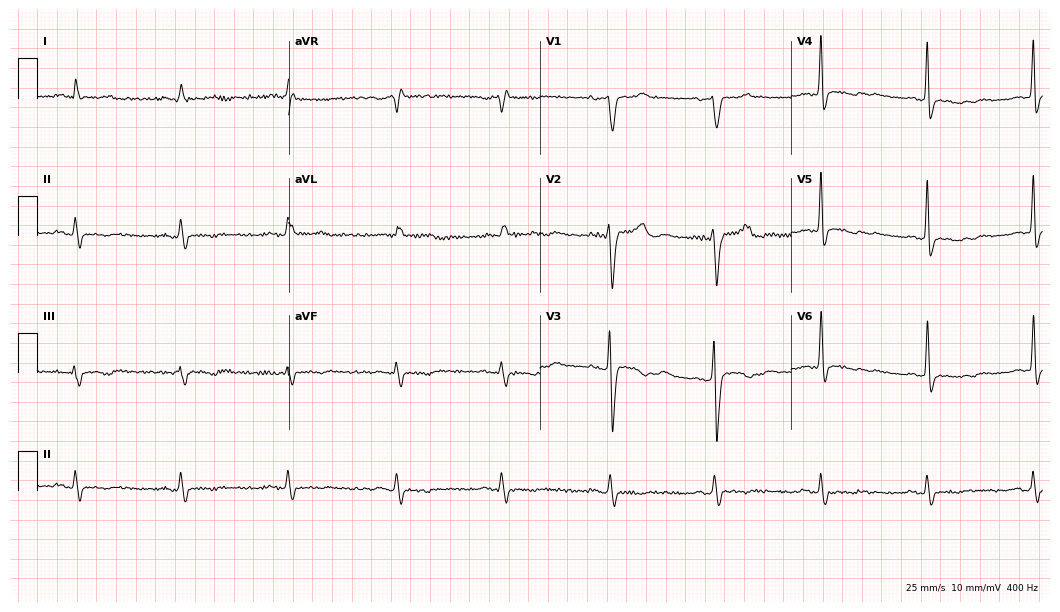
Standard 12-lead ECG recorded from a 59-year-old man. None of these six findings is recorded: first-degree AV block, right bundle branch block, left bundle branch block, sinus bradycardia, atrial fibrillation, sinus tachycardia.